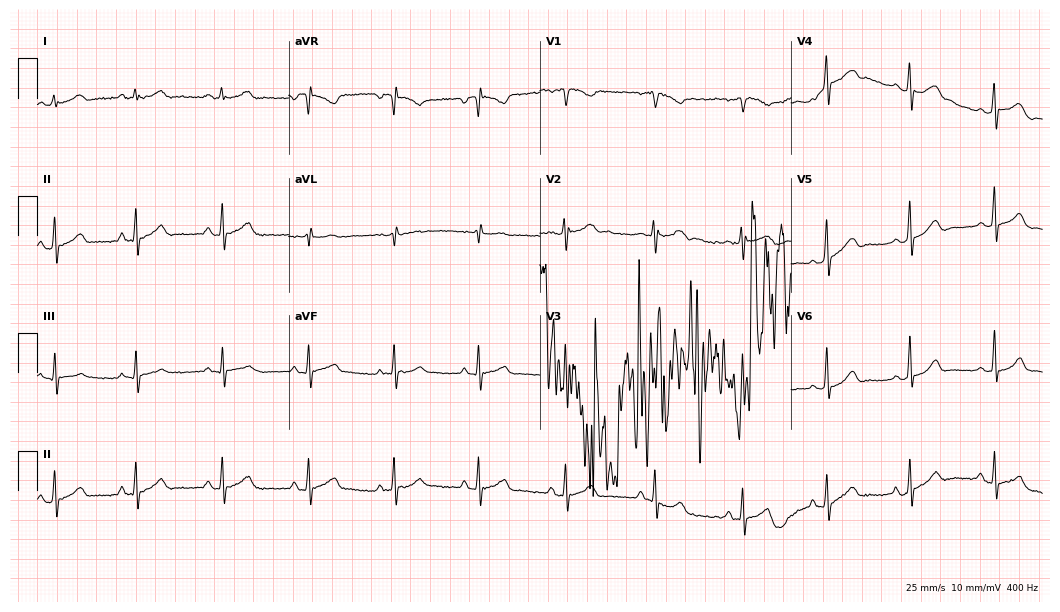
ECG — a 20-year-old female patient. Screened for six findings — first-degree AV block, right bundle branch block, left bundle branch block, sinus bradycardia, atrial fibrillation, sinus tachycardia — none is recorded. Other findings, if any, are not listed.